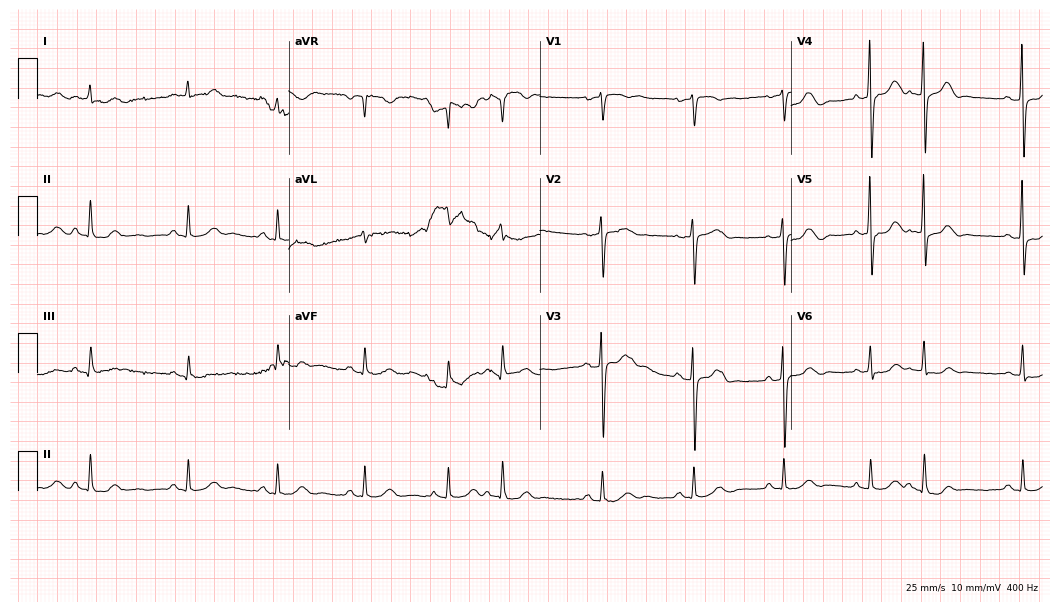
Resting 12-lead electrocardiogram (10.2-second recording at 400 Hz). Patient: a 71-year-old male. None of these six findings is recorded: first-degree AV block, right bundle branch block, left bundle branch block, sinus bradycardia, atrial fibrillation, sinus tachycardia.